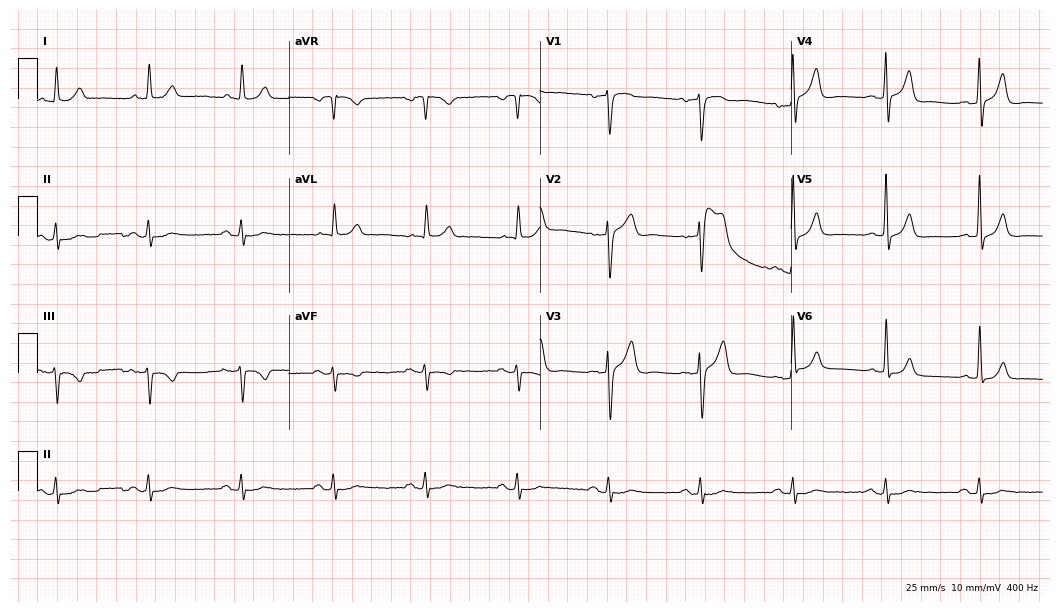
Electrocardiogram (10.2-second recording at 400 Hz), an 85-year-old man. Of the six screened findings (first-degree AV block, right bundle branch block, left bundle branch block, sinus bradycardia, atrial fibrillation, sinus tachycardia), none is recorded. Findings outside these six are not listed.